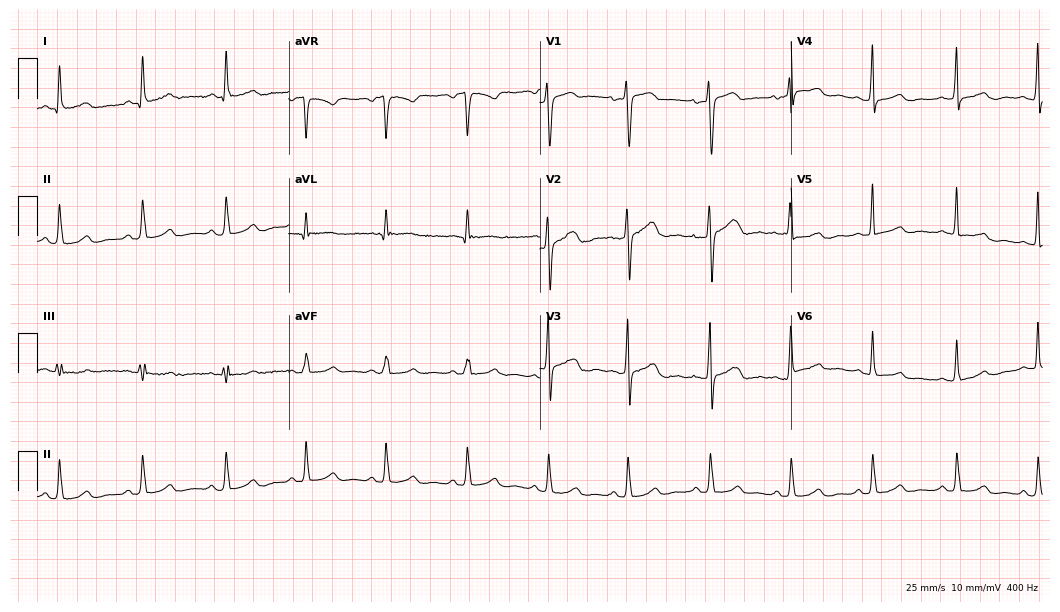
Electrocardiogram, a 33-year-old woman. Overall reading on record: normal ECG.